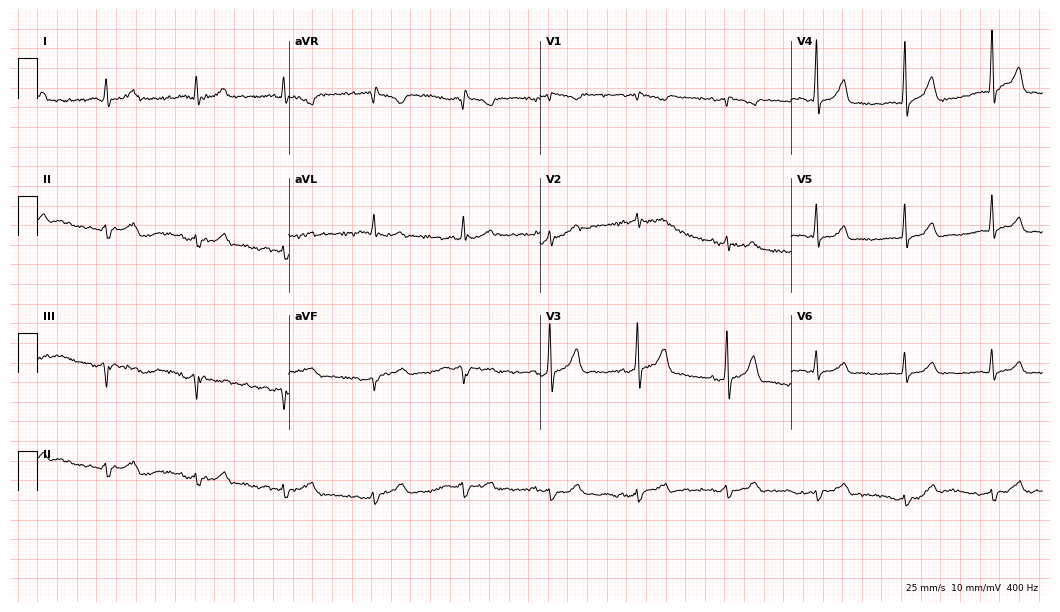
ECG — a male patient, 53 years old. Screened for six findings — first-degree AV block, right bundle branch block, left bundle branch block, sinus bradycardia, atrial fibrillation, sinus tachycardia — none is recorded.